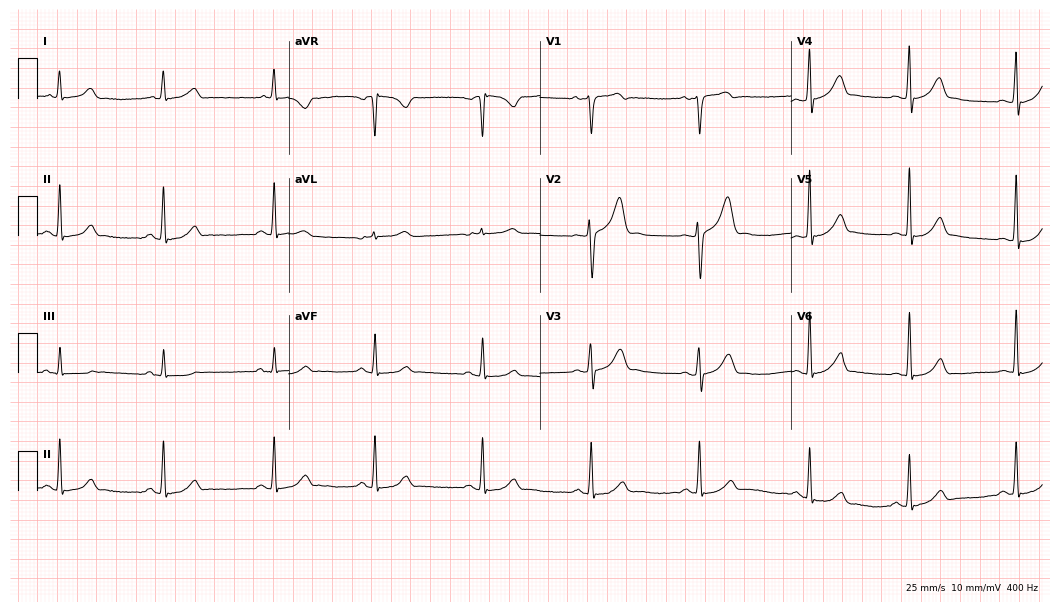
ECG (10.2-second recording at 400 Hz) — a 31-year-old male. Labelled as a normal ECG.